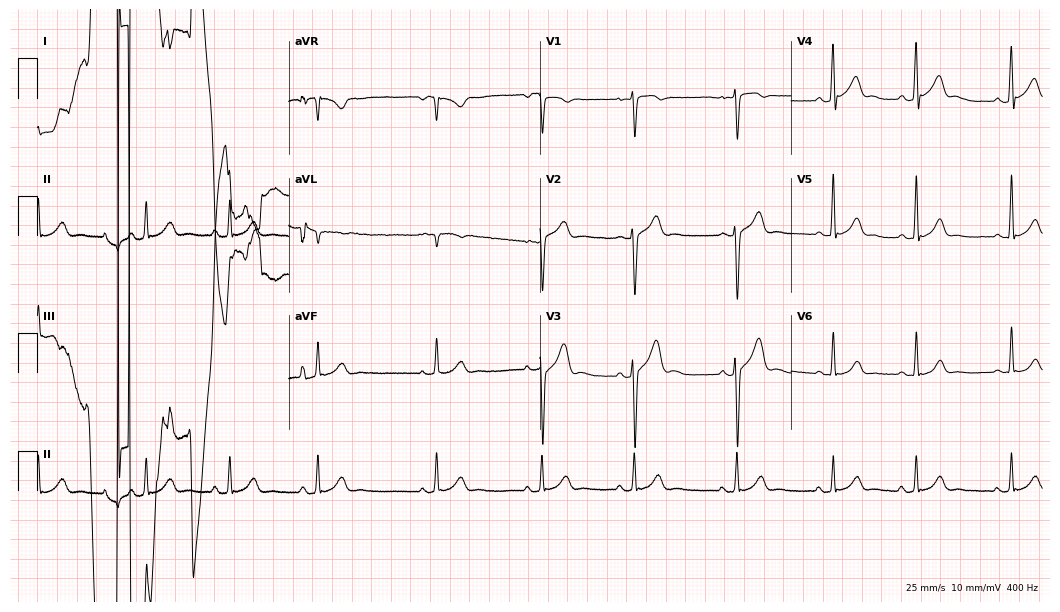
12-lead ECG from a male, 18 years old. Screened for six findings — first-degree AV block, right bundle branch block, left bundle branch block, sinus bradycardia, atrial fibrillation, sinus tachycardia — none is recorded.